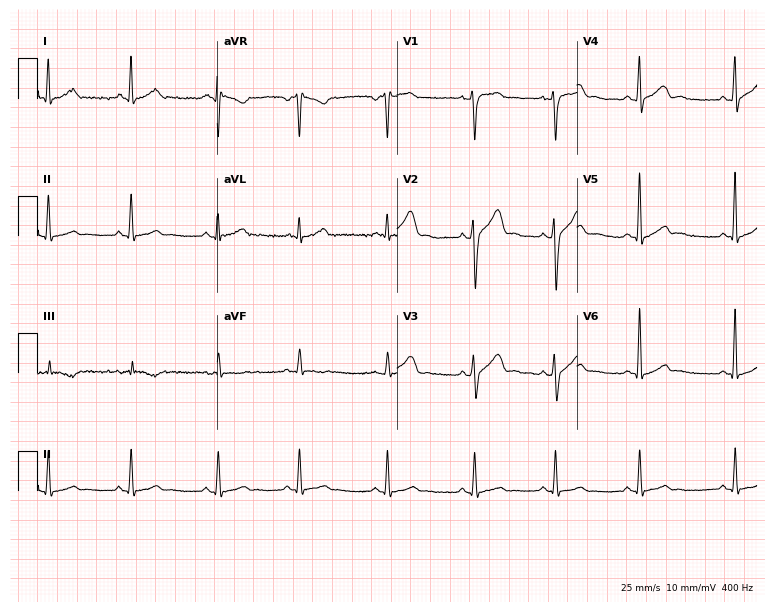
Resting 12-lead electrocardiogram (7.3-second recording at 400 Hz). Patient: a female, 25 years old. None of these six findings is recorded: first-degree AV block, right bundle branch block, left bundle branch block, sinus bradycardia, atrial fibrillation, sinus tachycardia. Findings outside these six are not listed.